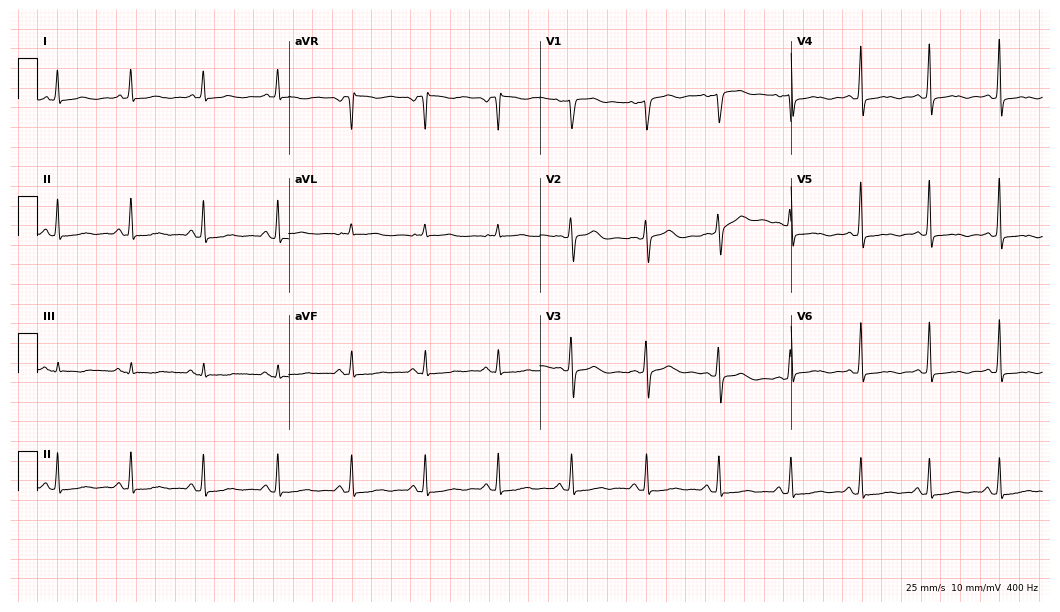
Electrocardiogram, a 58-year-old female patient. Of the six screened findings (first-degree AV block, right bundle branch block, left bundle branch block, sinus bradycardia, atrial fibrillation, sinus tachycardia), none is recorded.